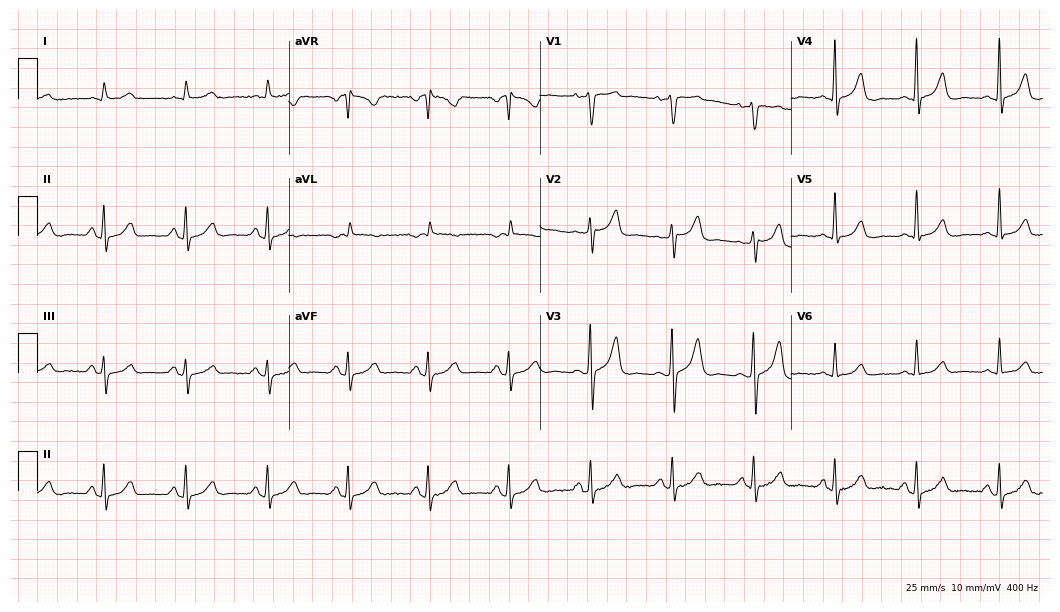
Standard 12-lead ECG recorded from a 78-year-old man. None of these six findings is recorded: first-degree AV block, right bundle branch block (RBBB), left bundle branch block (LBBB), sinus bradycardia, atrial fibrillation (AF), sinus tachycardia. Only these six findings were labelled.